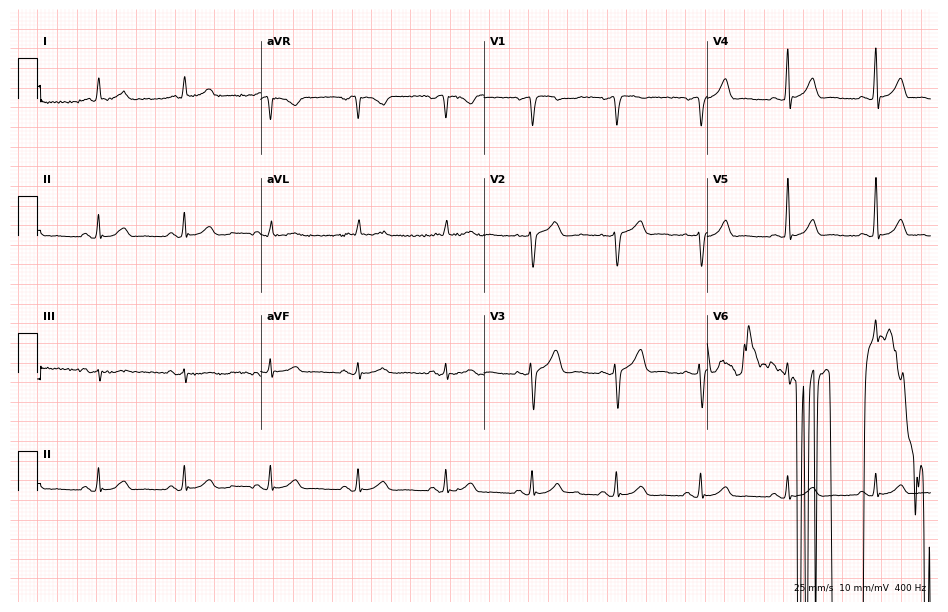
Resting 12-lead electrocardiogram (9.1-second recording at 400 Hz). Patient: a 70-year-old man. None of these six findings is recorded: first-degree AV block, right bundle branch block (RBBB), left bundle branch block (LBBB), sinus bradycardia, atrial fibrillation (AF), sinus tachycardia. Other findings, if any, are not listed.